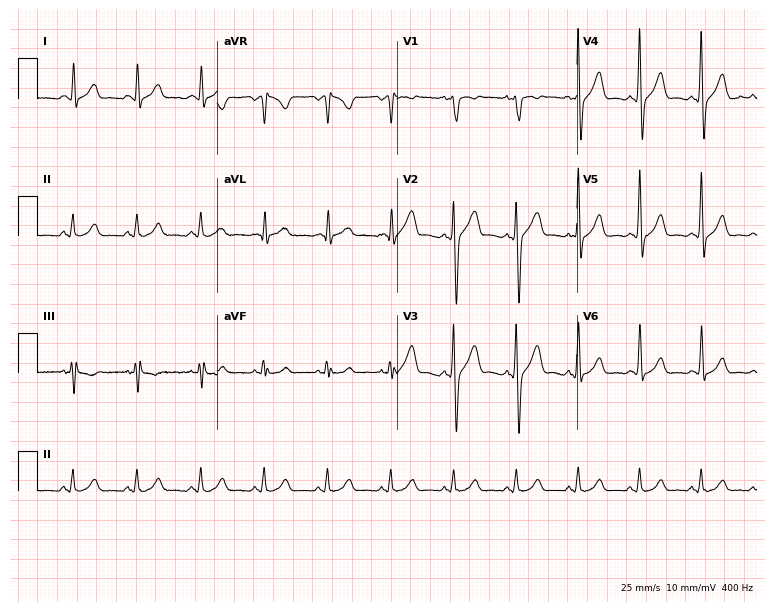
ECG — a 47-year-old male. Screened for six findings — first-degree AV block, right bundle branch block (RBBB), left bundle branch block (LBBB), sinus bradycardia, atrial fibrillation (AF), sinus tachycardia — none is recorded. Findings outside these six are not listed.